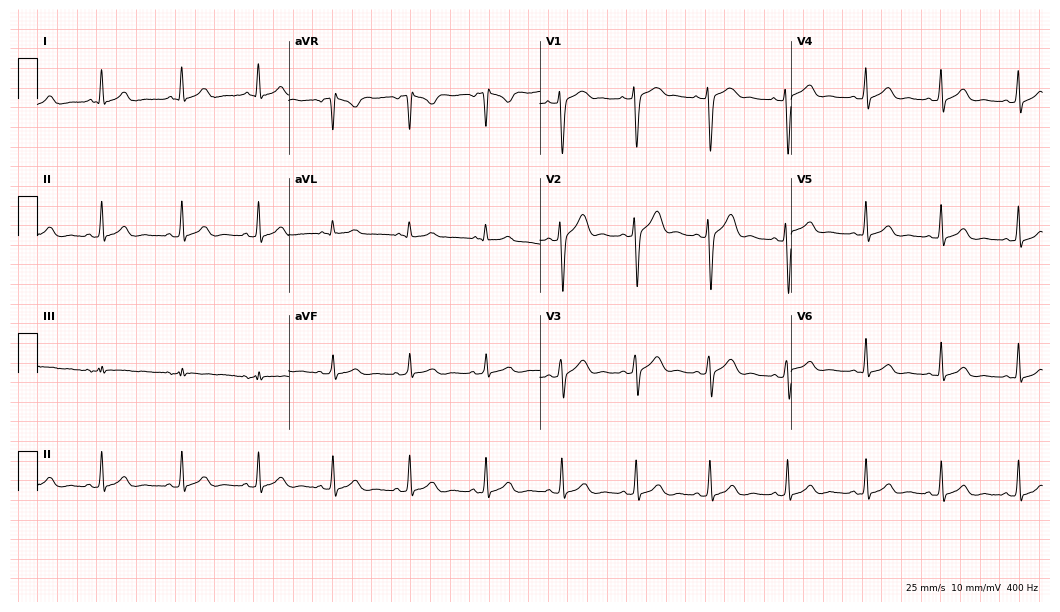
12-lead ECG (10.2-second recording at 400 Hz) from an 18-year-old female patient. Labelled as a normal ECG.